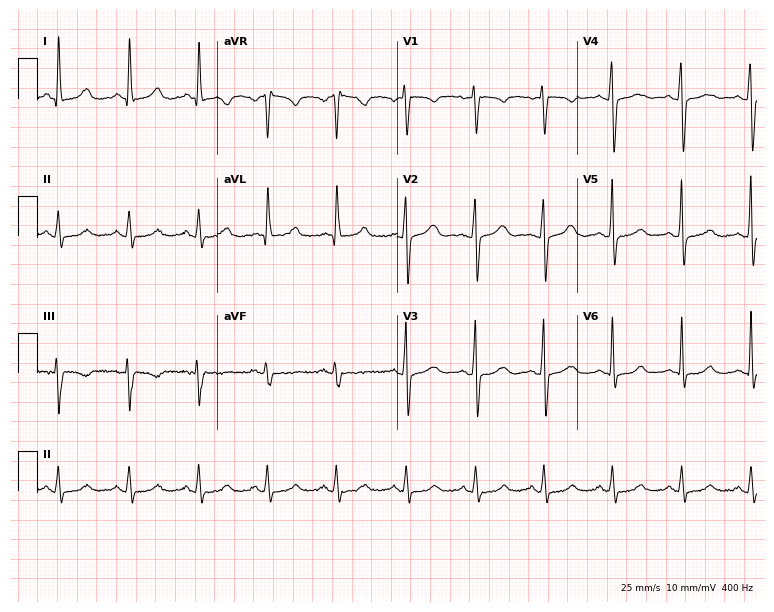
12-lead ECG from a 41-year-old female. Recorded interpretation: within normal limits.